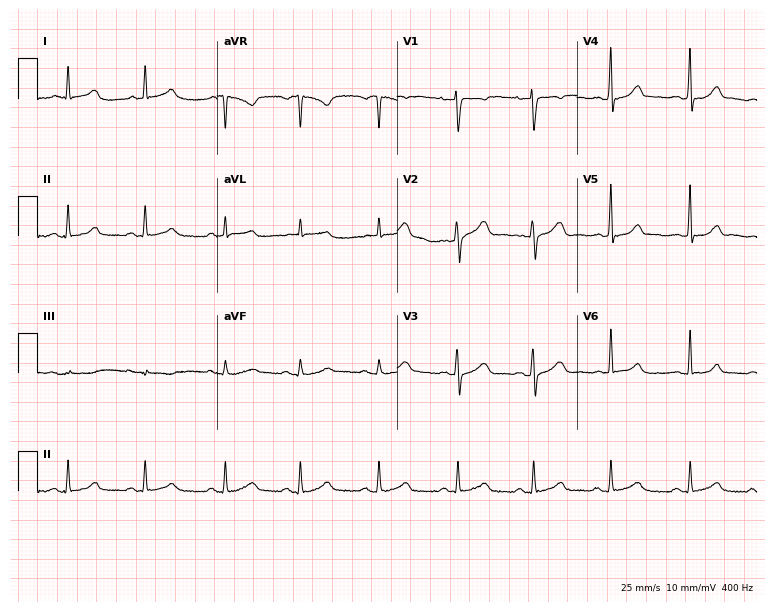
ECG (7.3-second recording at 400 Hz) — a 30-year-old female. Labelled as a normal ECG.